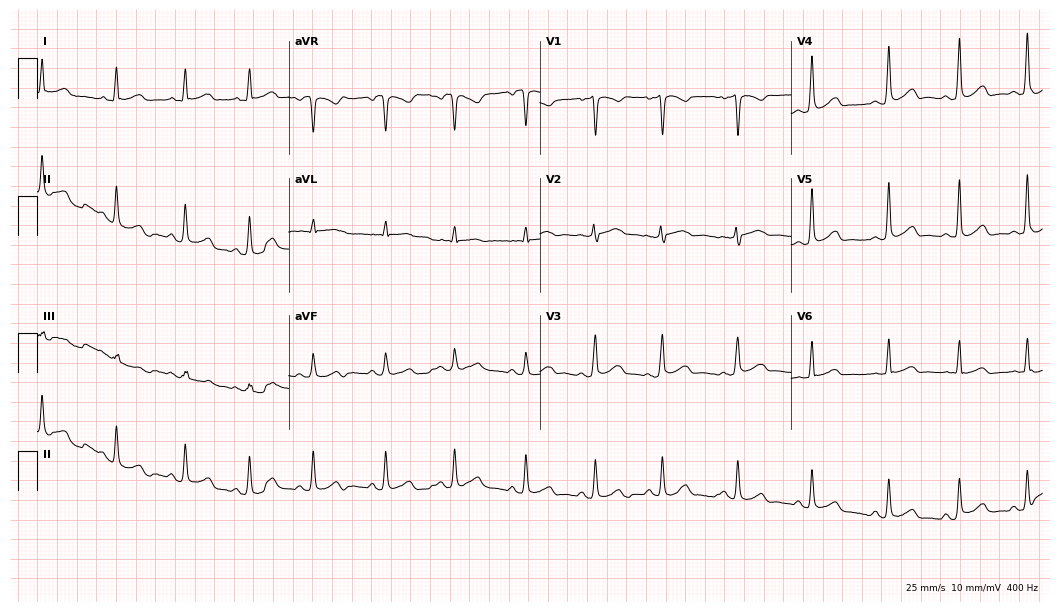
12-lead ECG (10.2-second recording at 400 Hz) from a female patient, 19 years old. Labelled as a normal ECG.